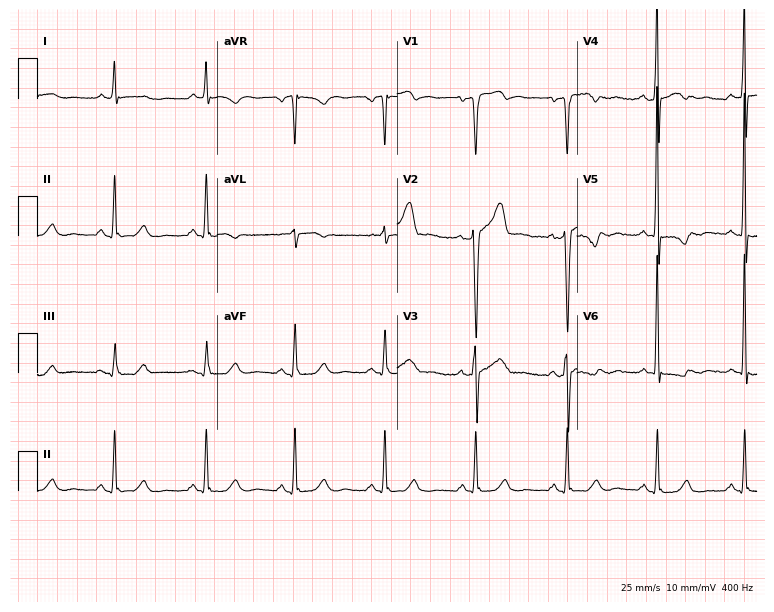
12-lead ECG from a 52-year-old man. Screened for six findings — first-degree AV block, right bundle branch block, left bundle branch block, sinus bradycardia, atrial fibrillation, sinus tachycardia — none is recorded. Findings outside these six are not listed.